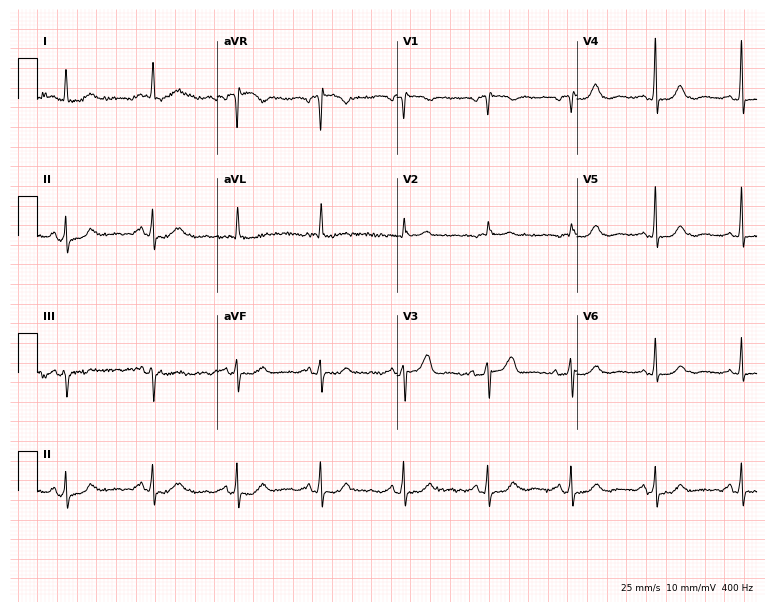
12-lead ECG from a woman, 81 years old. No first-degree AV block, right bundle branch block, left bundle branch block, sinus bradycardia, atrial fibrillation or sinus tachycardia recorded for this tracing. Findings outside these six are not listed.